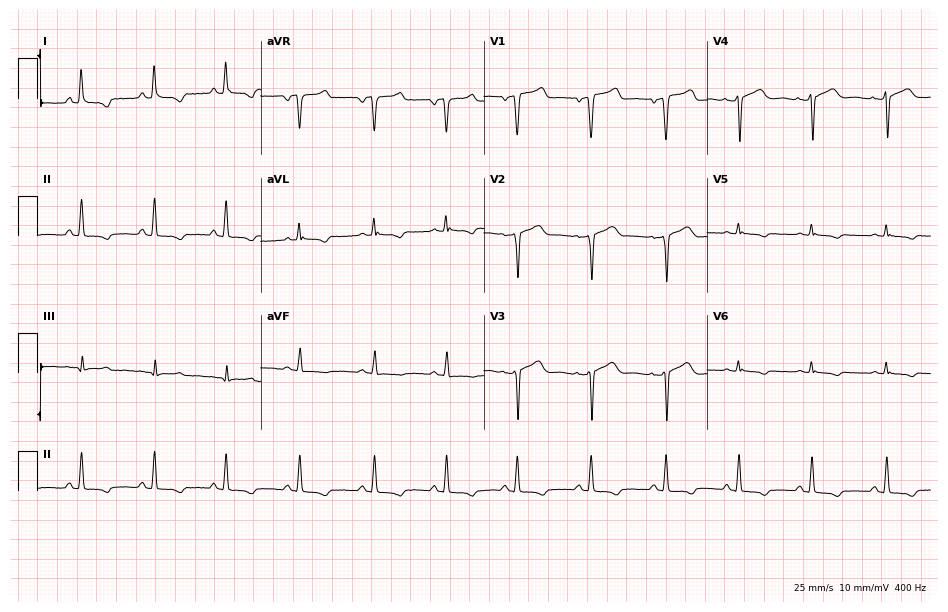
Standard 12-lead ECG recorded from a woman, 47 years old. None of these six findings is recorded: first-degree AV block, right bundle branch block, left bundle branch block, sinus bradycardia, atrial fibrillation, sinus tachycardia.